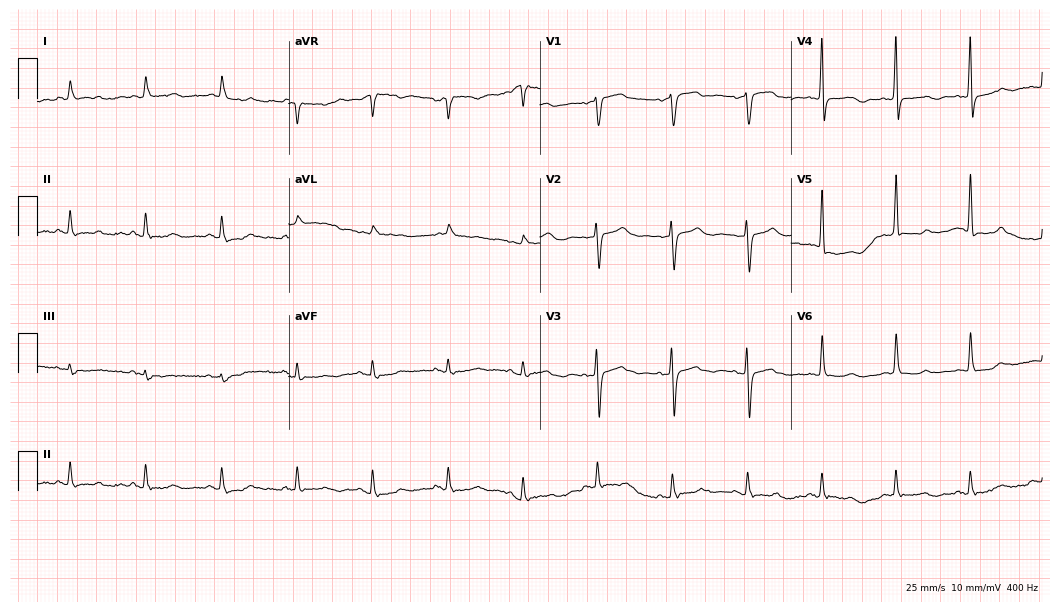
Electrocardiogram, a female patient, 85 years old. Of the six screened findings (first-degree AV block, right bundle branch block, left bundle branch block, sinus bradycardia, atrial fibrillation, sinus tachycardia), none is recorded. Only these six findings were labelled.